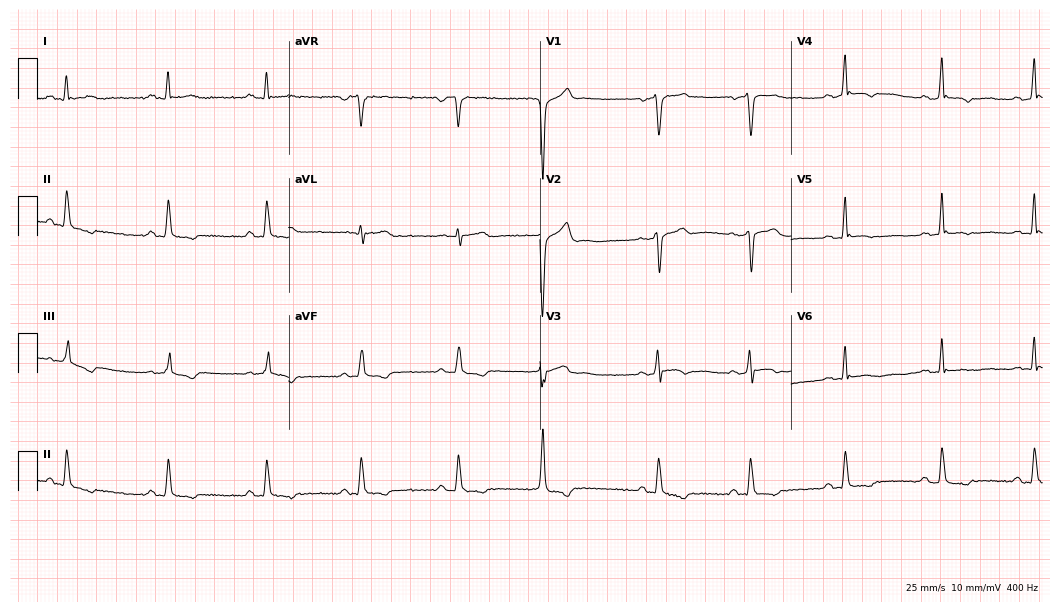
Resting 12-lead electrocardiogram. Patient: a male, 56 years old. None of these six findings is recorded: first-degree AV block, right bundle branch block, left bundle branch block, sinus bradycardia, atrial fibrillation, sinus tachycardia.